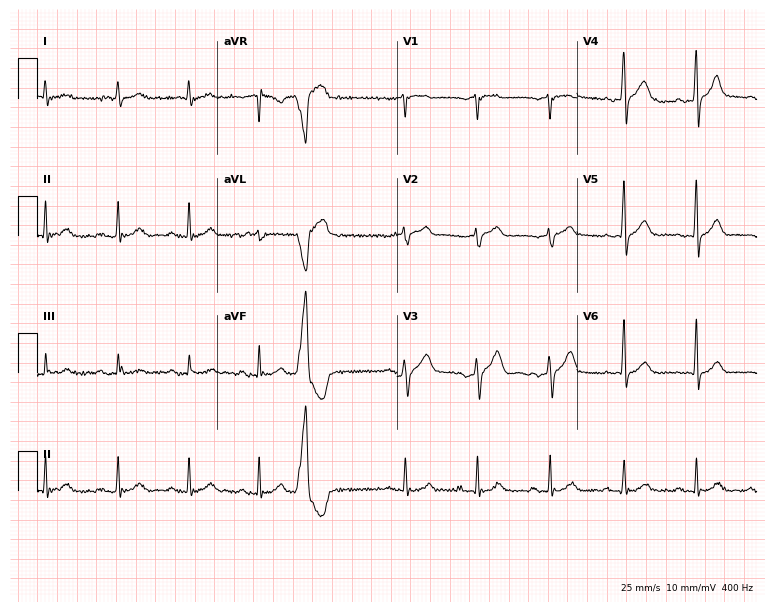
12-lead ECG from a male patient, 71 years old. No first-degree AV block, right bundle branch block, left bundle branch block, sinus bradycardia, atrial fibrillation or sinus tachycardia recorded for this tracing.